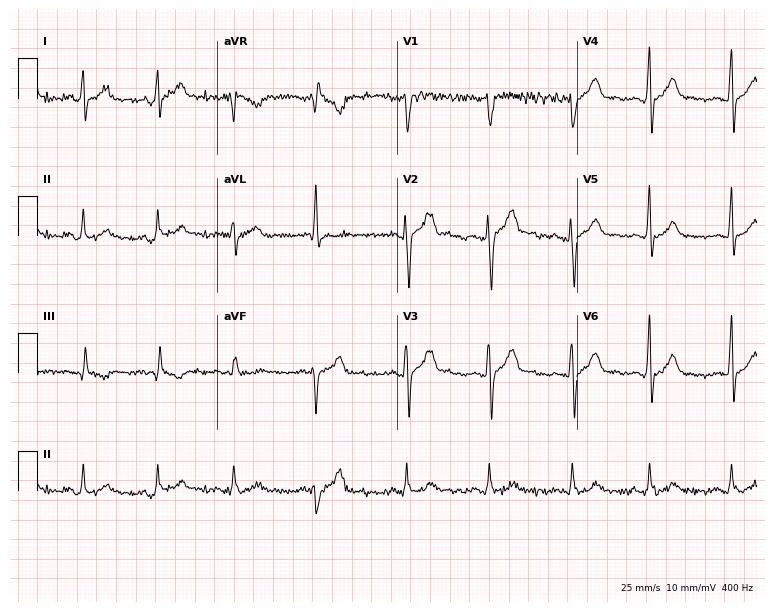
12-lead ECG from a 29-year-old male. No first-degree AV block, right bundle branch block (RBBB), left bundle branch block (LBBB), sinus bradycardia, atrial fibrillation (AF) or sinus tachycardia recorded for this tracing.